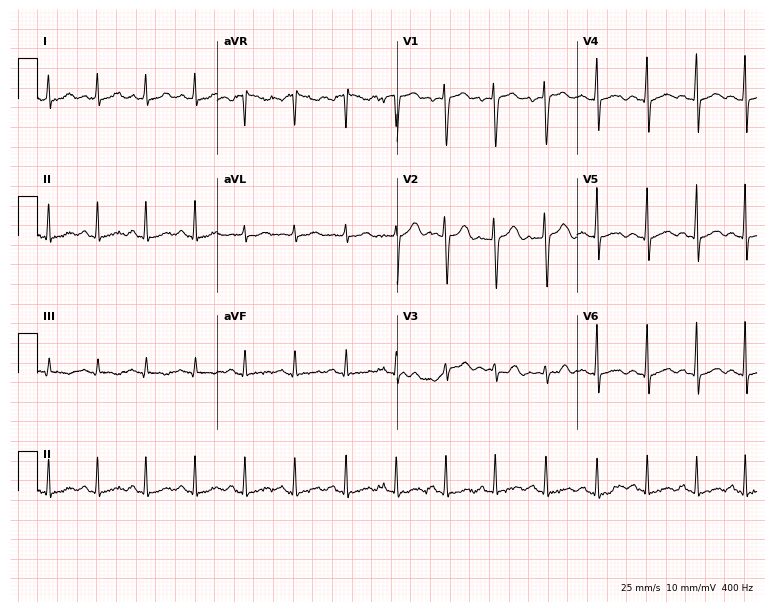
ECG (7.3-second recording at 400 Hz) — a 26-year-old woman. Findings include sinus tachycardia (a sinus rate of 100 beats per minute or more).